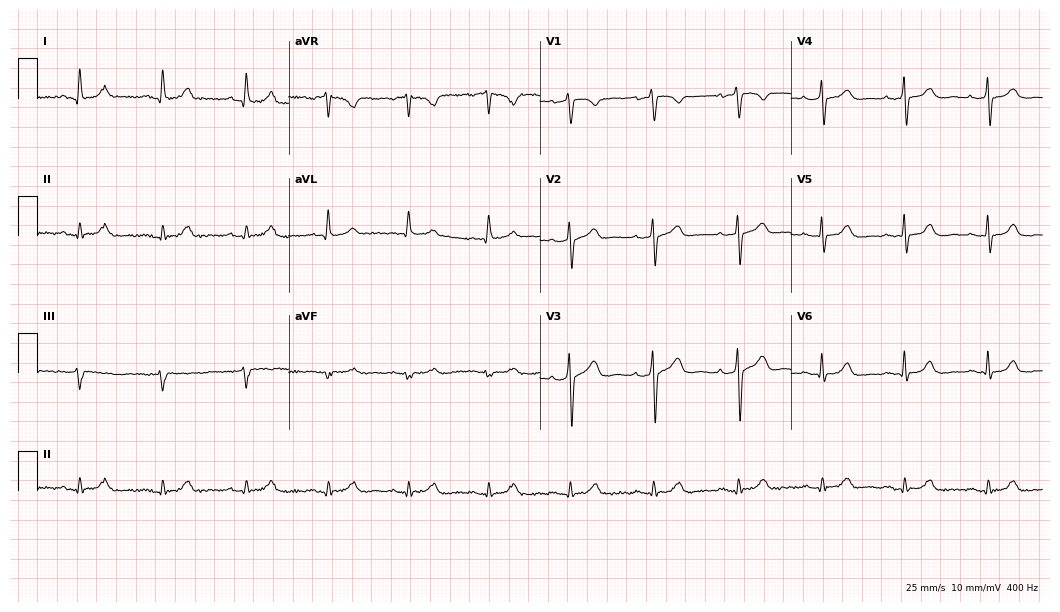
12-lead ECG from a 56-year-old female patient. Recorded interpretation: within normal limits.